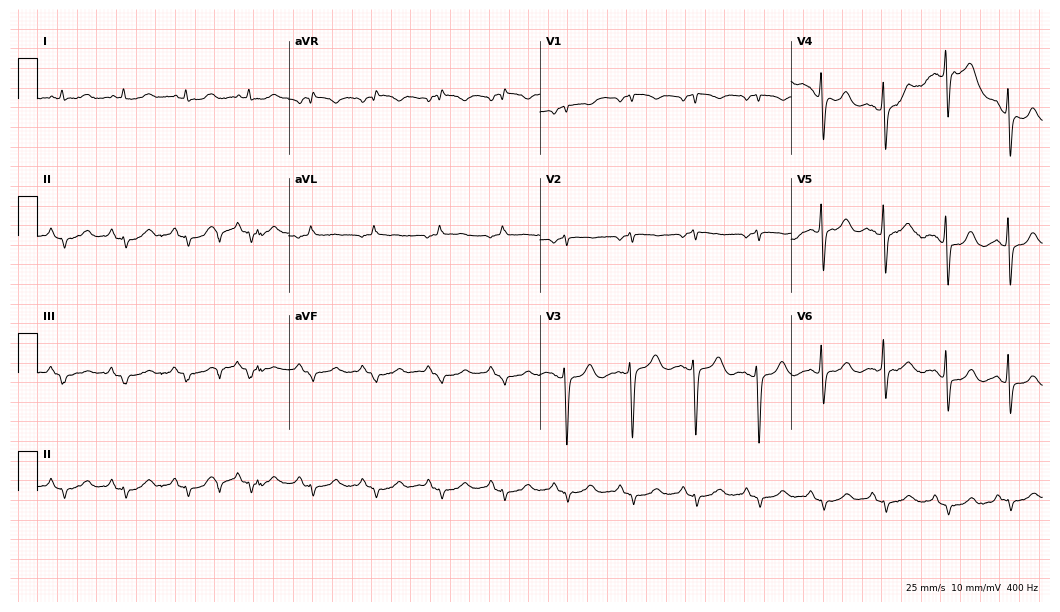
12-lead ECG from a female, 73 years old. Screened for six findings — first-degree AV block, right bundle branch block, left bundle branch block, sinus bradycardia, atrial fibrillation, sinus tachycardia — none is recorded. Other findings, if any, are not listed.